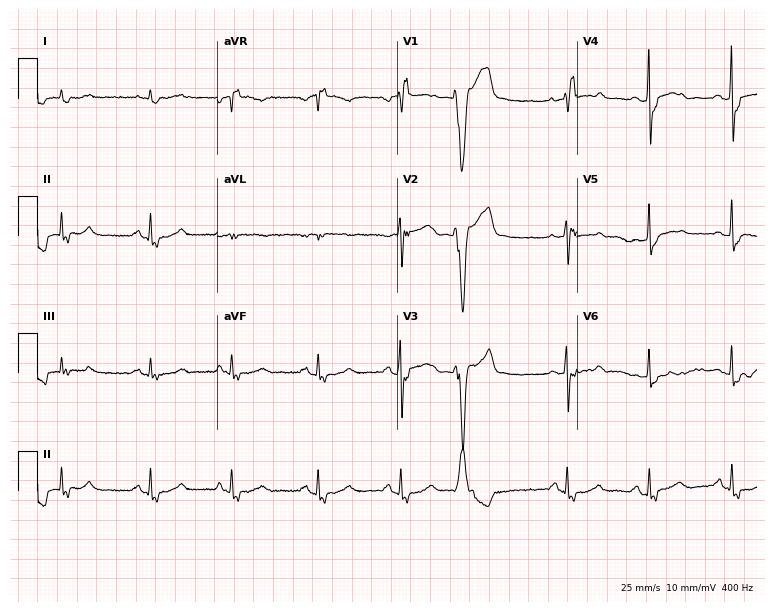
12-lead ECG (7.3-second recording at 400 Hz) from an 81-year-old woman. Findings include right bundle branch block.